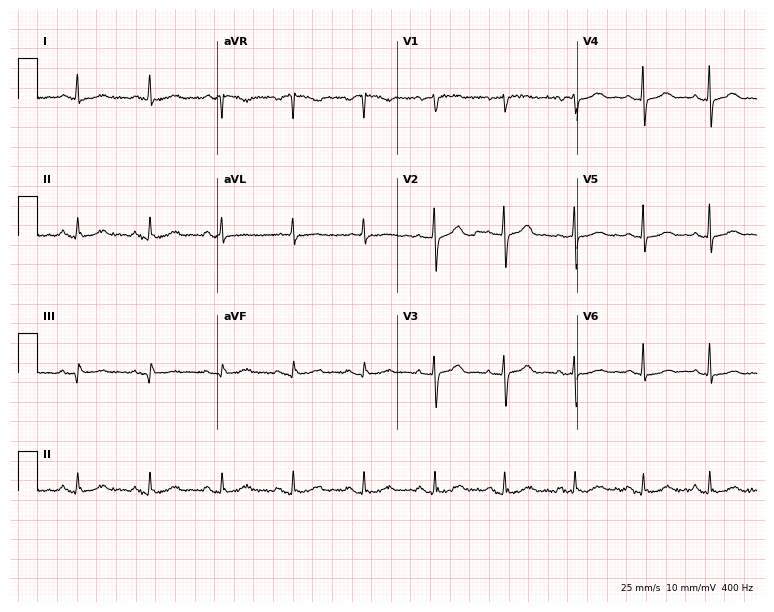
Standard 12-lead ECG recorded from a 65-year-old female. Read as a normal ECG.